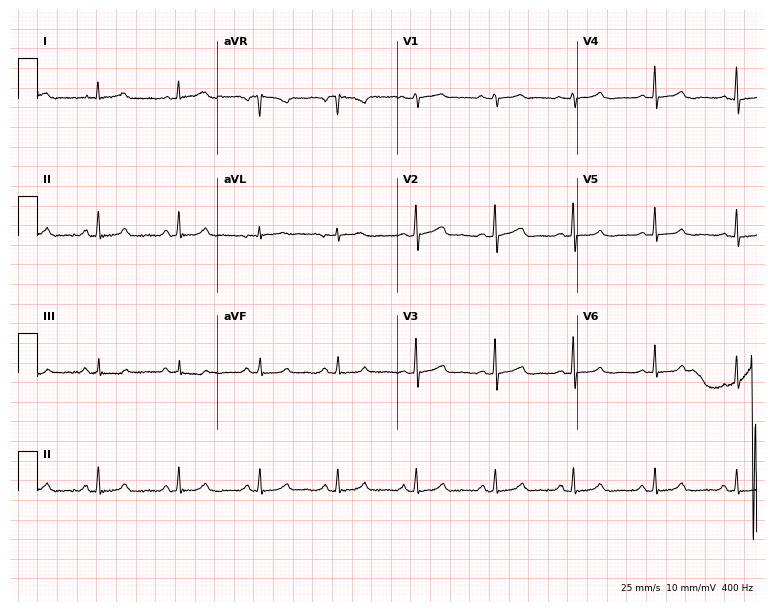
Standard 12-lead ECG recorded from a female, 31 years old (7.3-second recording at 400 Hz). None of these six findings is recorded: first-degree AV block, right bundle branch block, left bundle branch block, sinus bradycardia, atrial fibrillation, sinus tachycardia. Only these six findings were labelled.